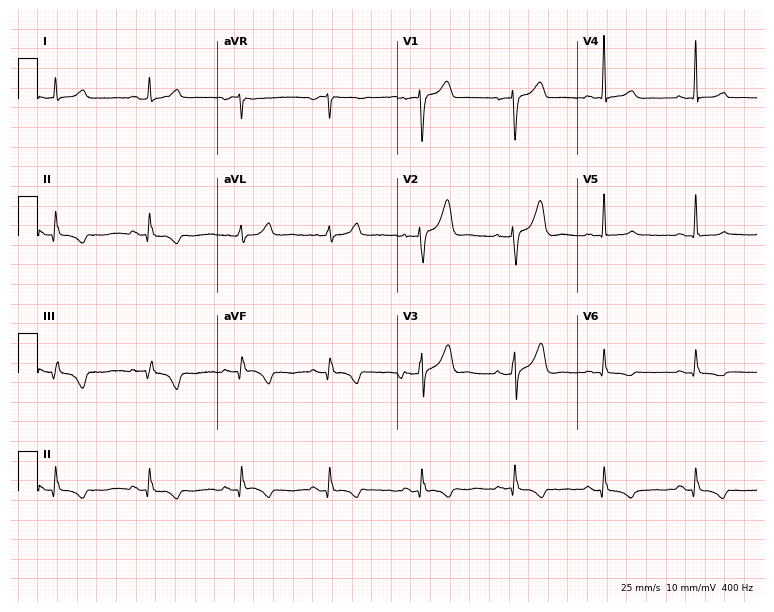
12-lead ECG from a female patient, 58 years old (7.3-second recording at 400 Hz). No first-degree AV block, right bundle branch block, left bundle branch block, sinus bradycardia, atrial fibrillation or sinus tachycardia recorded for this tracing. Only these six findings were labelled.